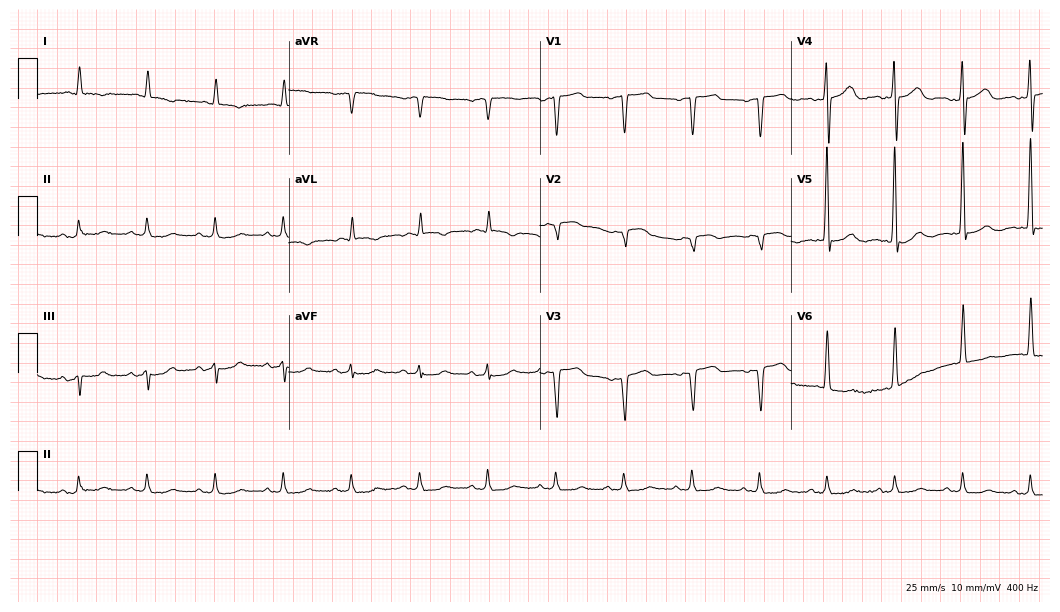
Electrocardiogram, a man, 75 years old. Of the six screened findings (first-degree AV block, right bundle branch block, left bundle branch block, sinus bradycardia, atrial fibrillation, sinus tachycardia), none is recorded. Other findings, if any, are not listed.